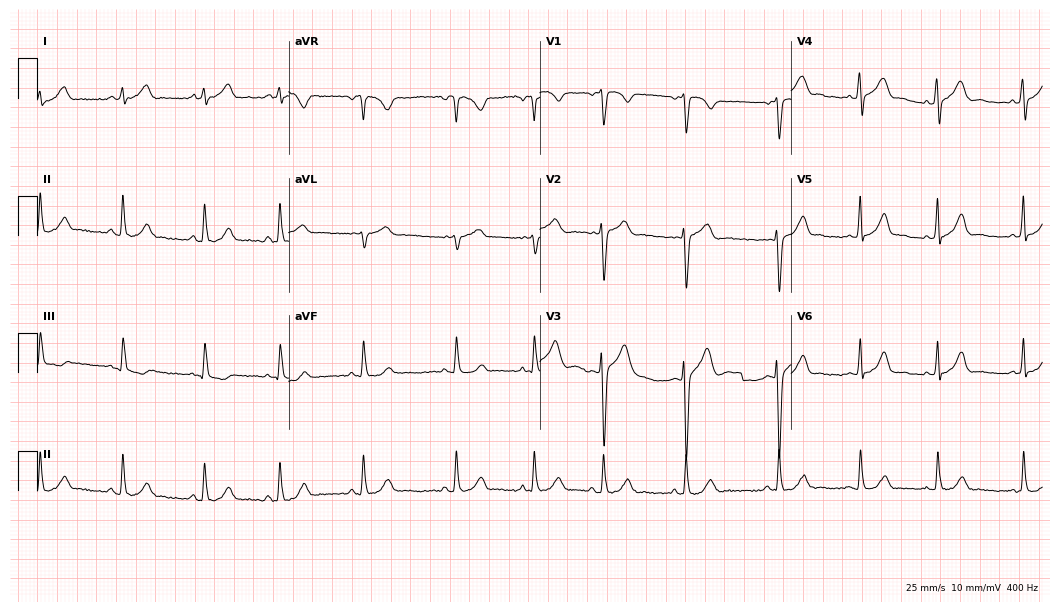
12-lead ECG from a 23-year-old male. Labelled as a normal ECG.